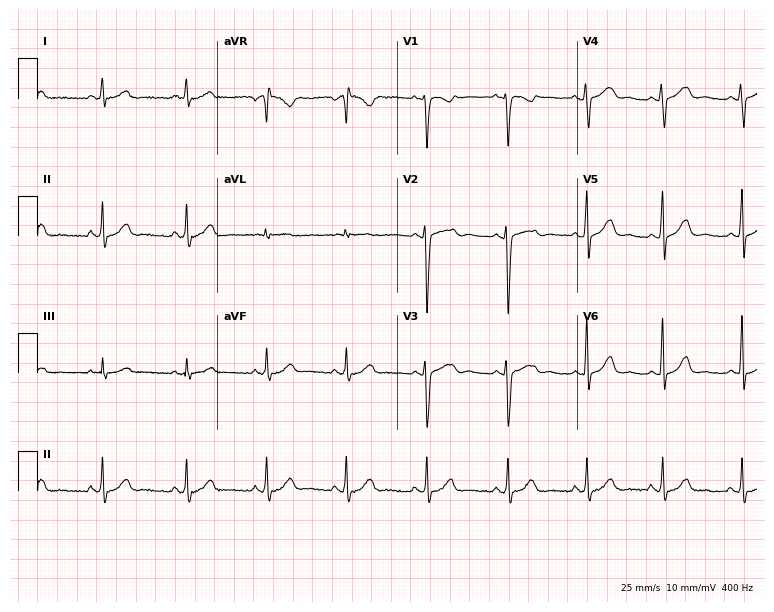
ECG (7.3-second recording at 400 Hz) — a woman, 41 years old. Labelled as a normal ECG.